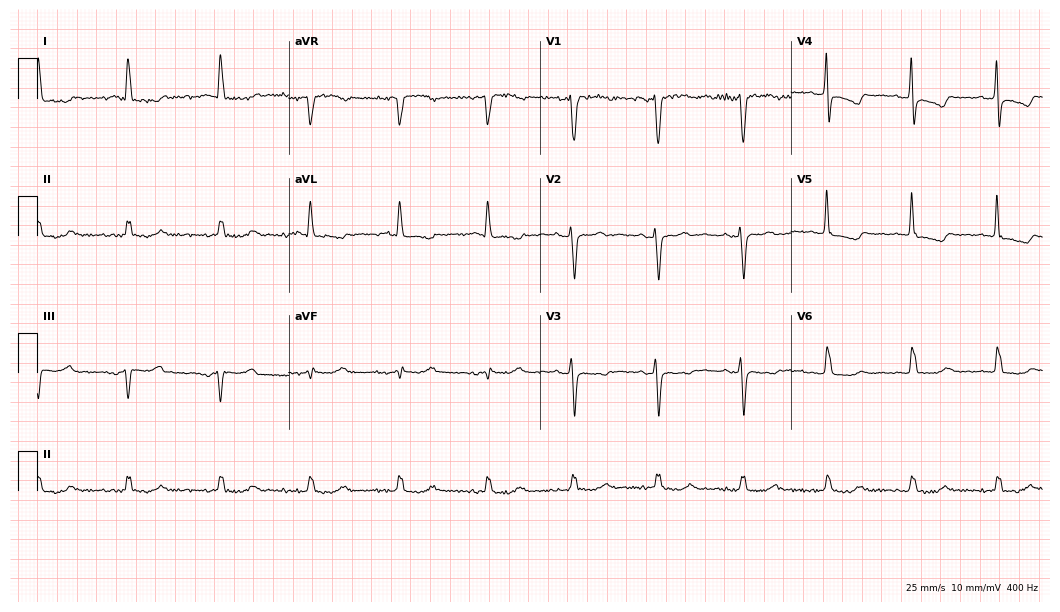
12-lead ECG from a 64-year-old female patient. Recorded interpretation: within normal limits.